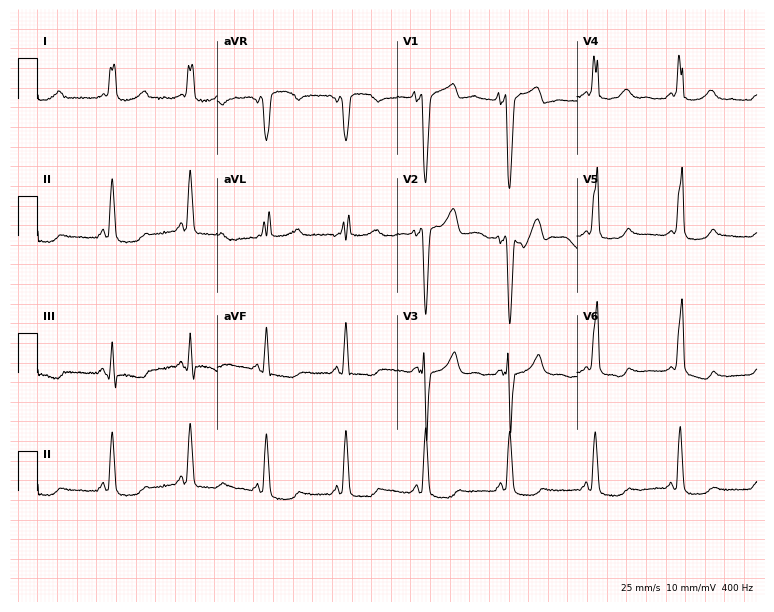
ECG (7.3-second recording at 400 Hz) — a 47-year-old female patient. Screened for six findings — first-degree AV block, right bundle branch block, left bundle branch block, sinus bradycardia, atrial fibrillation, sinus tachycardia — none is recorded.